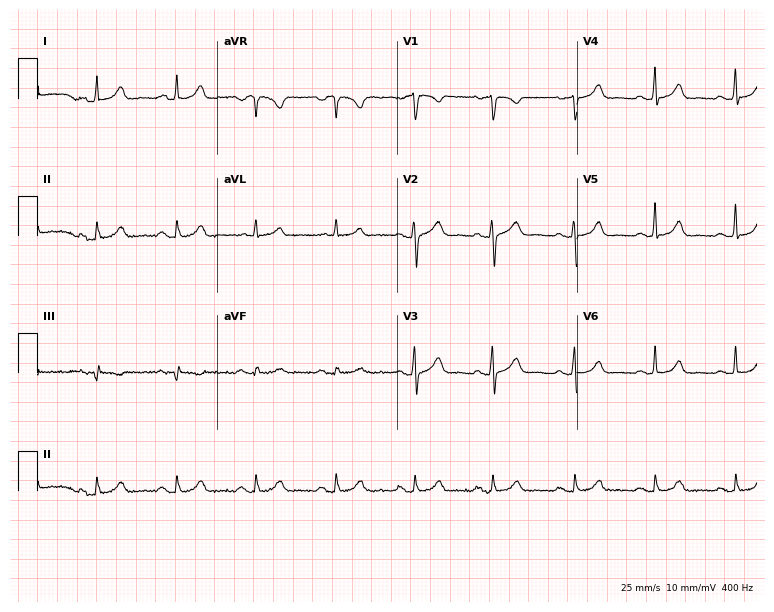
ECG — a 36-year-old female. Screened for six findings — first-degree AV block, right bundle branch block, left bundle branch block, sinus bradycardia, atrial fibrillation, sinus tachycardia — none is recorded.